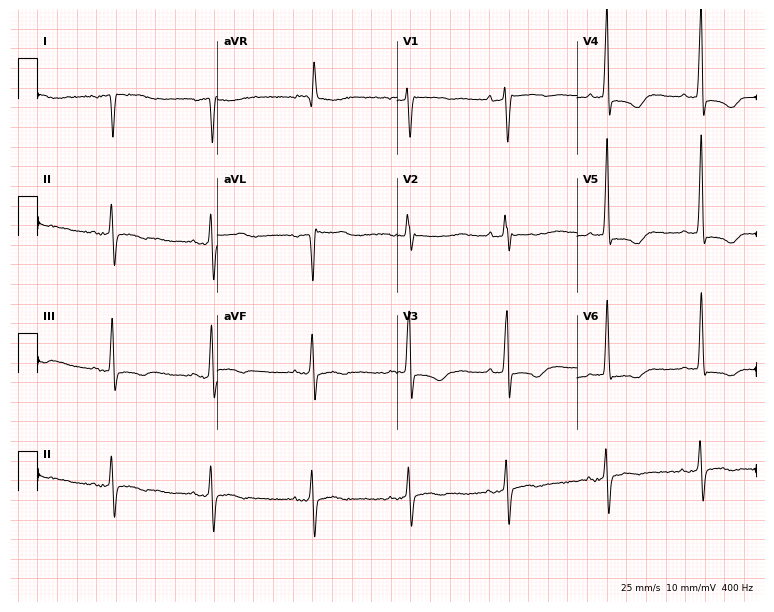
12-lead ECG from a woman, 64 years old. No first-degree AV block, right bundle branch block, left bundle branch block, sinus bradycardia, atrial fibrillation or sinus tachycardia recorded for this tracing. Only these six findings were labelled.